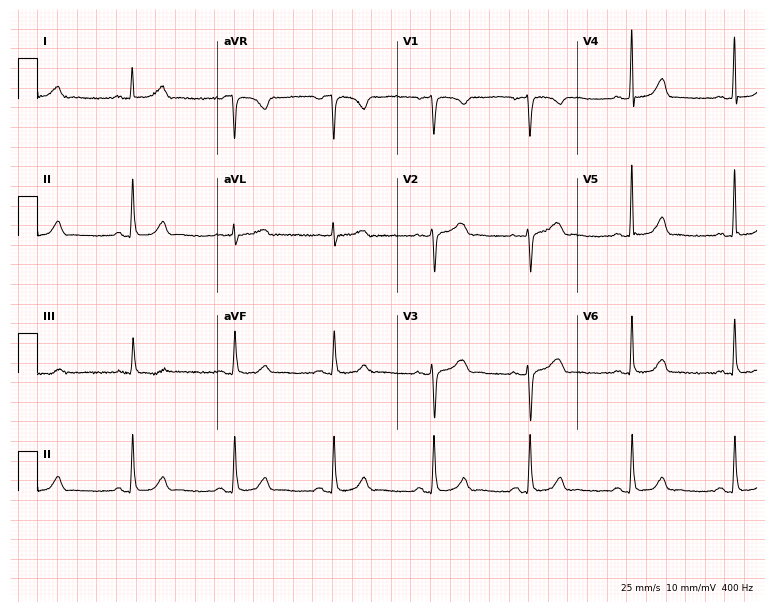
Electrocardiogram, a female patient, 46 years old. Overall reading on record: normal ECG.